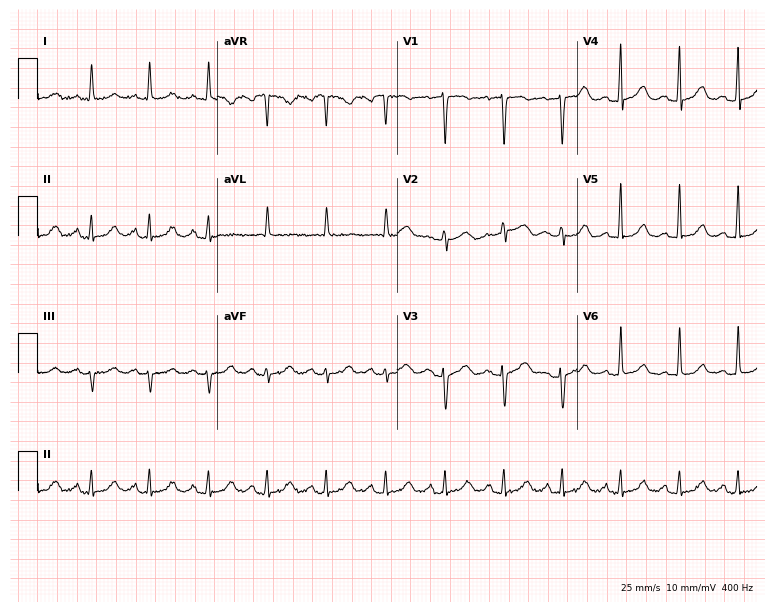
Electrocardiogram (7.3-second recording at 400 Hz), a 52-year-old female patient. Overall reading on record: normal ECG.